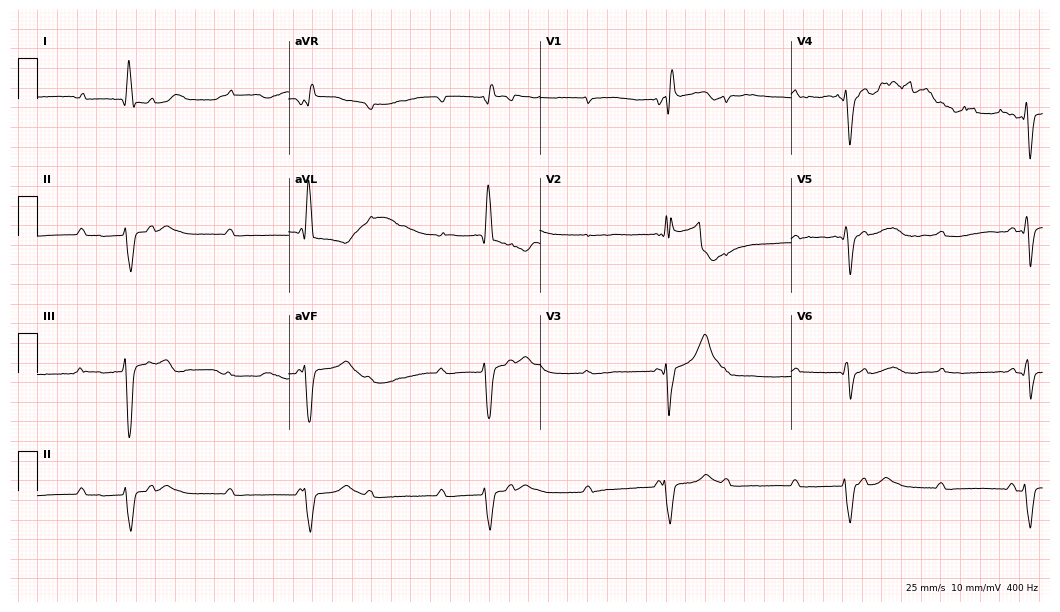
12-lead ECG from a man, 65 years old. Shows right bundle branch block.